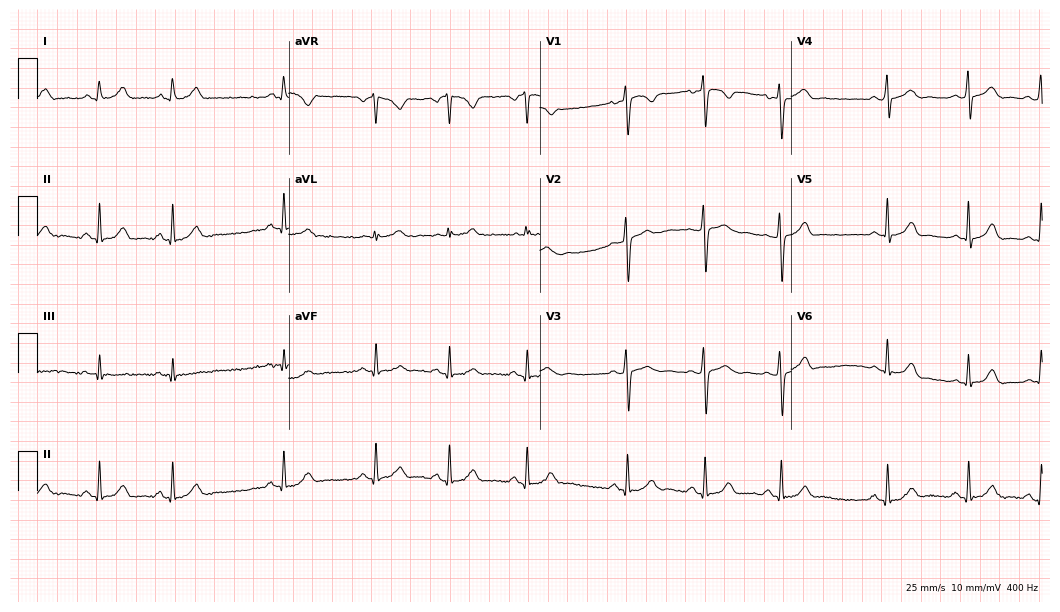
Standard 12-lead ECG recorded from a woman, 26 years old. Read as a normal ECG.